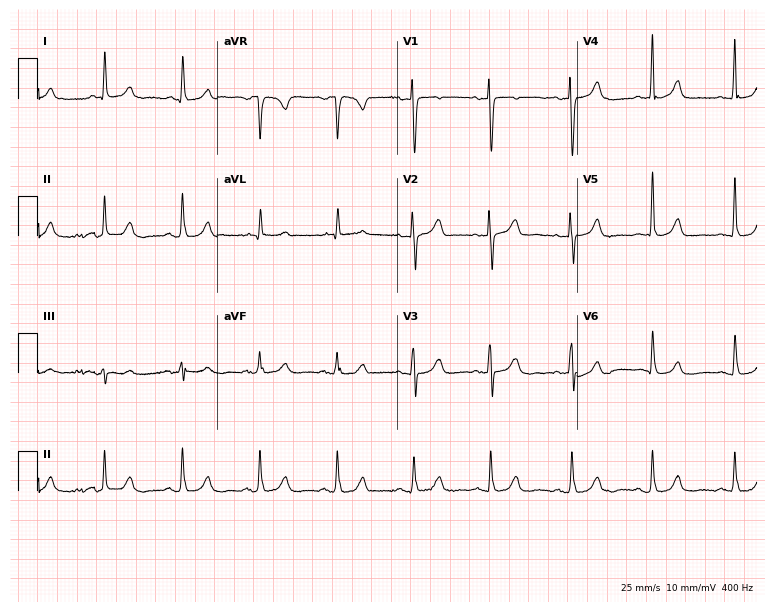
Resting 12-lead electrocardiogram (7.3-second recording at 400 Hz). Patient: a female, 70 years old. Read as a normal ECG.